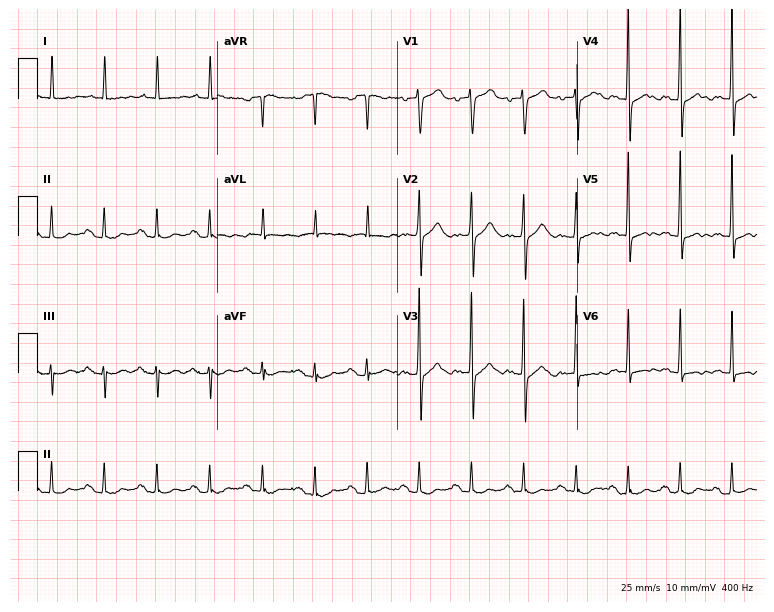
Standard 12-lead ECG recorded from a man, 71 years old. The tracing shows sinus tachycardia (a sinus rate of 100 beats per minute or more).